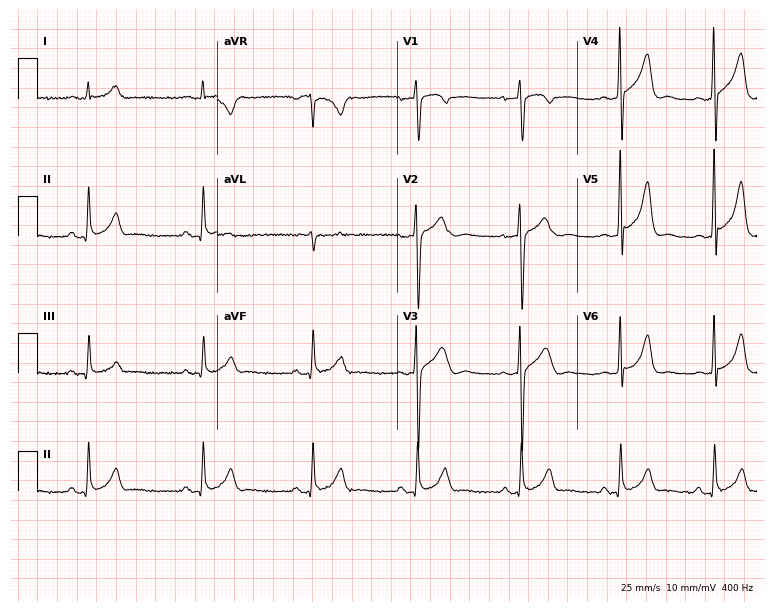
Electrocardiogram (7.3-second recording at 400 Hz), a man, 37 years old. Overall reading on record: normal ECG.